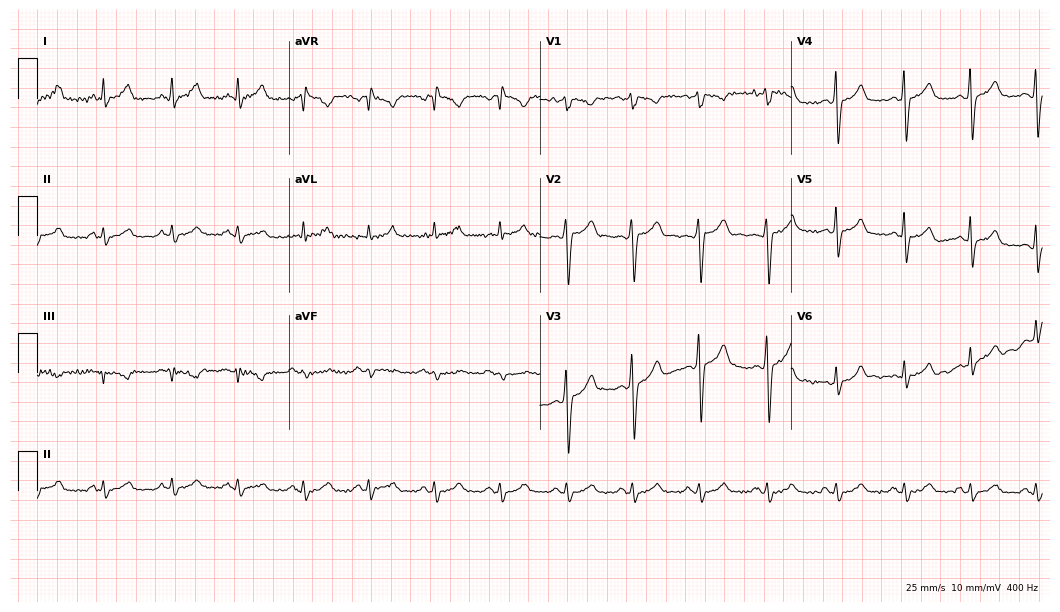
Resting 12-lead electrocardiogram (10.2-second recording at 400 Hz). Patient: a 44-year-old male. None of these six findings is recorded: first-degree AV block, right bundle branch block, left bundle branch block, sinus bradycardia, atrial fibrillation, sinus tachycardia.